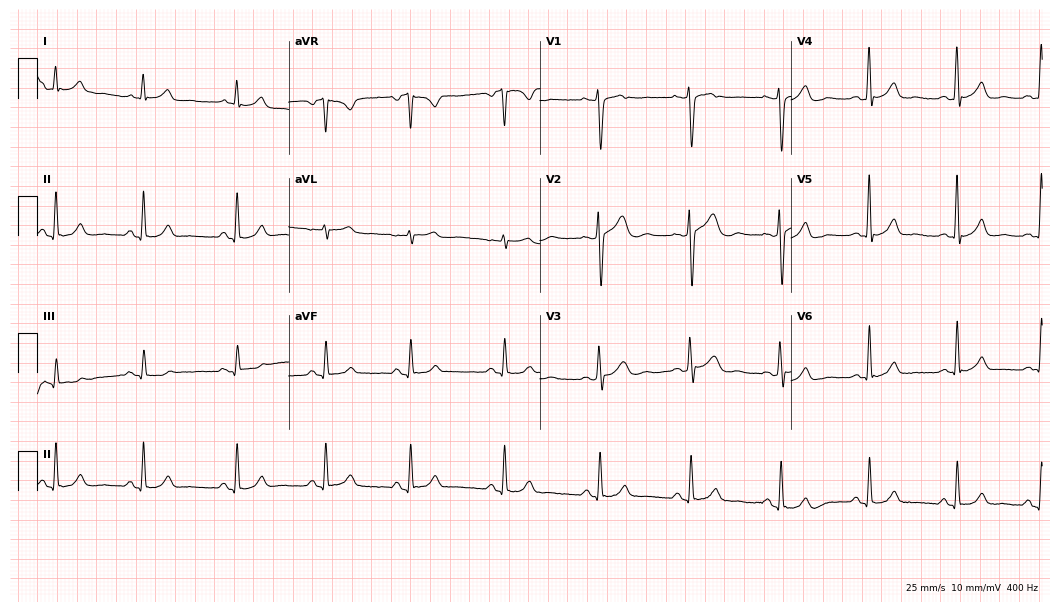
Standard 12-lead ECG recorded from a 25-year-old male patient (10.2-second recording at 400 Hz). Read as a normal ECG.